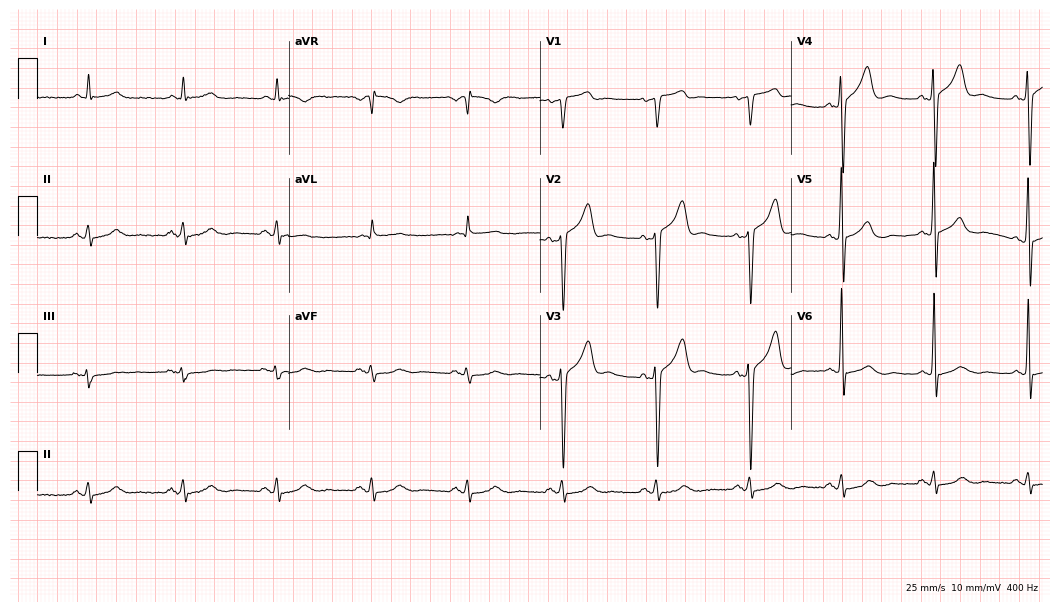
12-lead ECG from a male, 67 years old. Recorded interpretation: within normal limits.